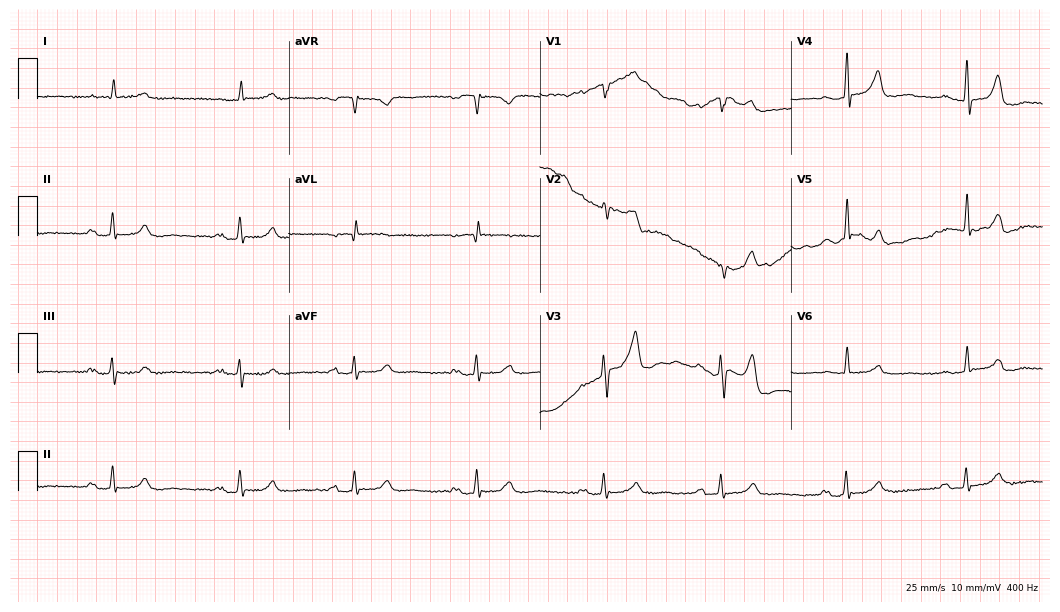
12-lead ECG from a male, 75 years old. Shows first-degree AV block, right bundle branch block.